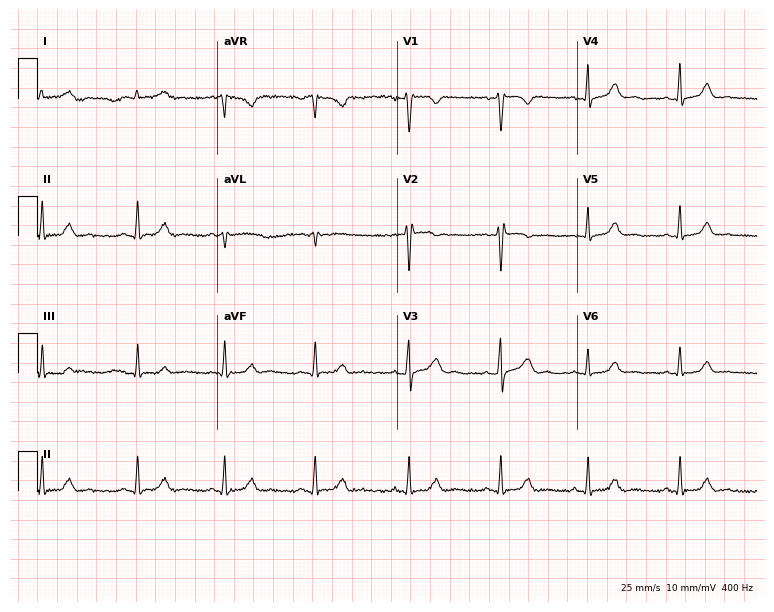
Electrocardiogram (7.3-second recording at 400 Hz), a 43-year-old female patient. Overall reading on record: normal ECG.